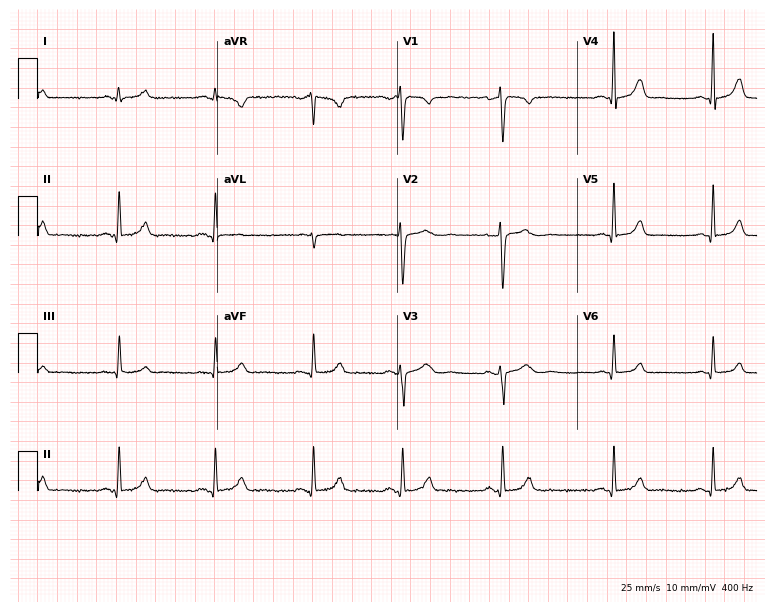
Standard 12-lead ECG recorded from a 30-year-old man (7.3-second recording at 400 Hz). Read as a normal ECG.